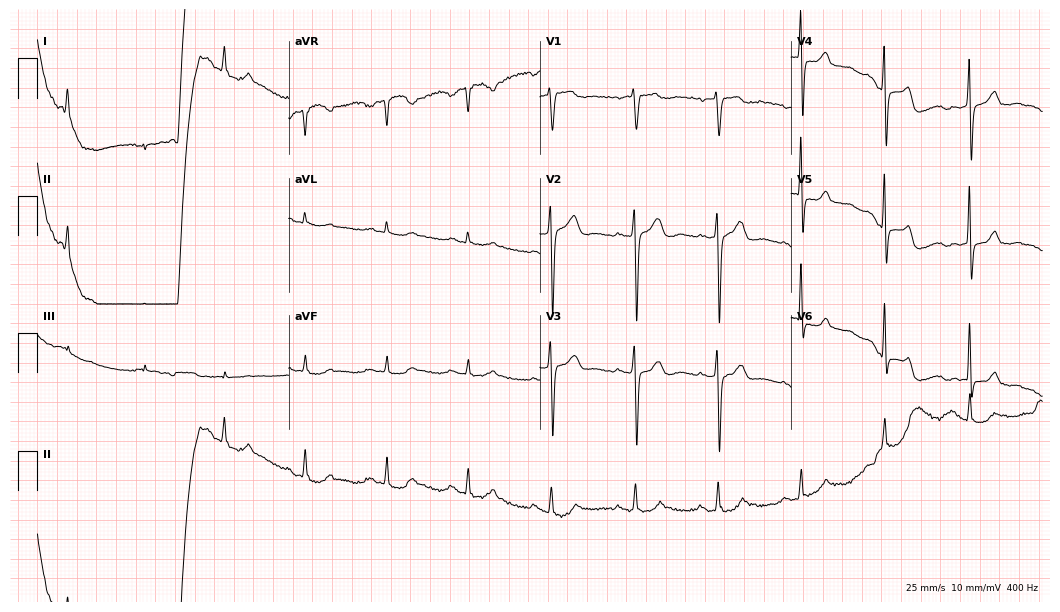
12-lead ECG from a male patient, 54 years old. No first-degree AV block, right bundle branch block (RBBB), left bundle branch block (LBBB), sinus bradycardia, atrial fibrillation (AF) or sinus tachycardia recorded for this tracing. Other findings, if any, are not listed.